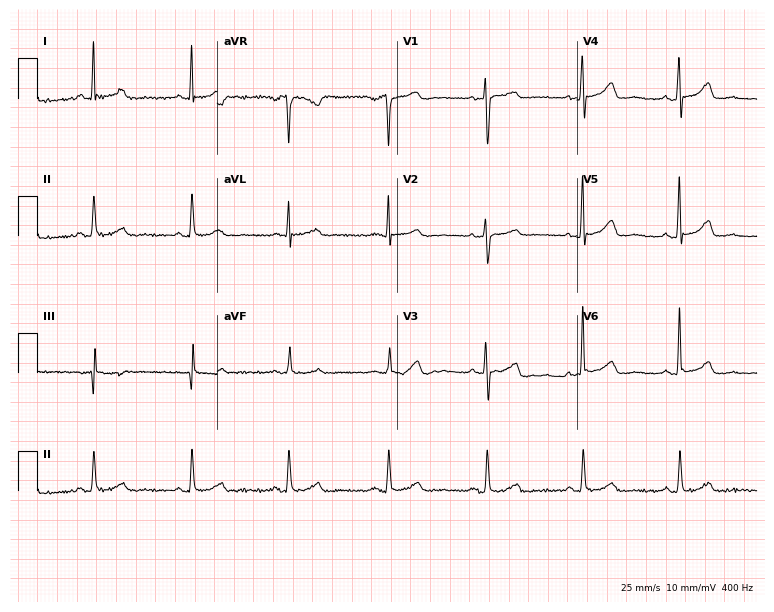
12-lead ECG from a woman, 53 years old. No first-degree AV block, right bundle branch block, left bundle branch block, sinus bradycardia, atrial fibrillation or sinus tachycardia recorded for this tracing.